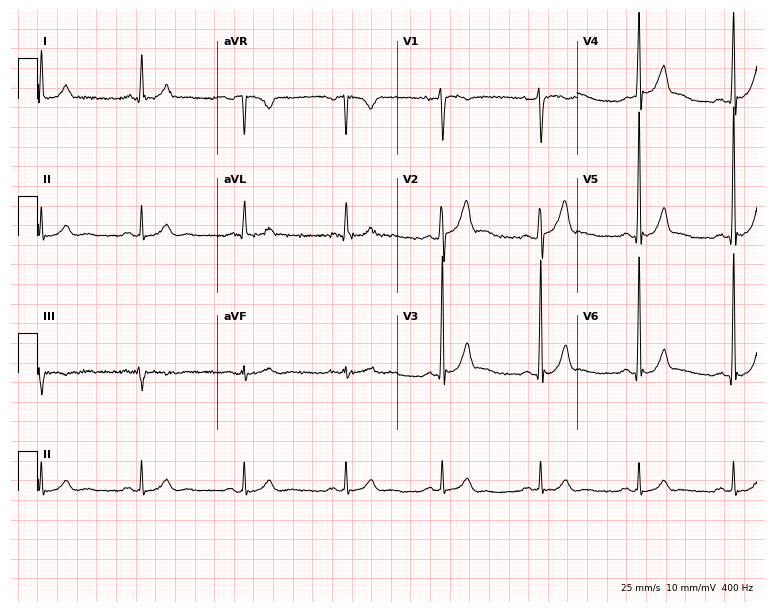
Standard 12-lead ECG recorded from a male patient, 37 years old (7.3-second recording at 400 Hz). None of these six findings is recorded: first-degree AV block, right bundle branch block (RBBB), left bundle branch block (LBBB), sinus bradycardia, atrial fibrillation (AF), sinus tachycardia.